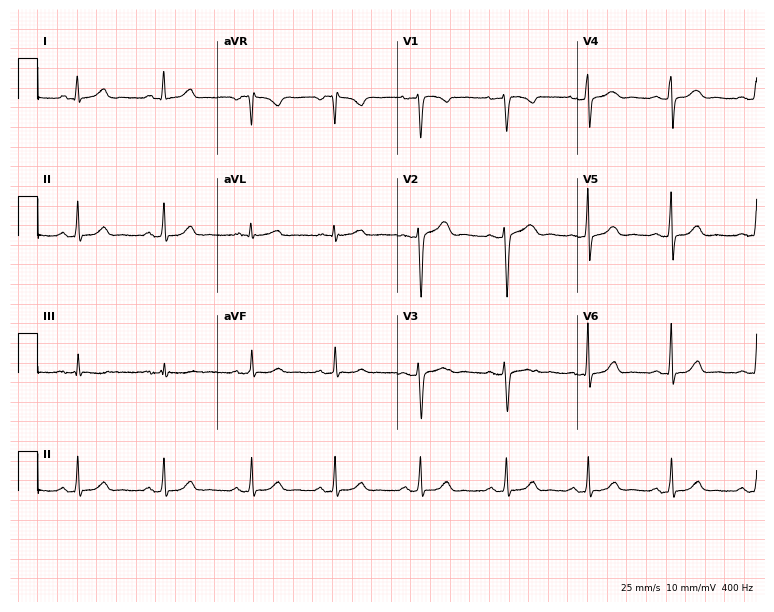
ECG (7.3-second recording at 400 Hz) — a woman, 33 years old. Labelled as a normal ECG.